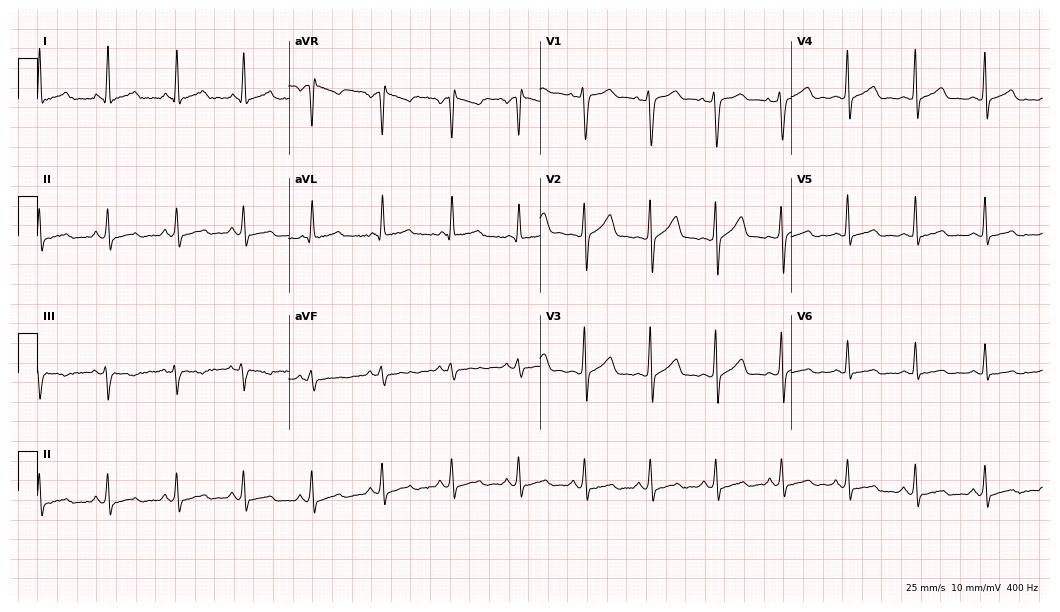
ECG — a 36-year-old man. Screened for six findings — first-degree AV block, right bundle branch block, left bundle branch block, sinus bradycardia, atrial fibrillation, sinus tachycardia — none is recorded.